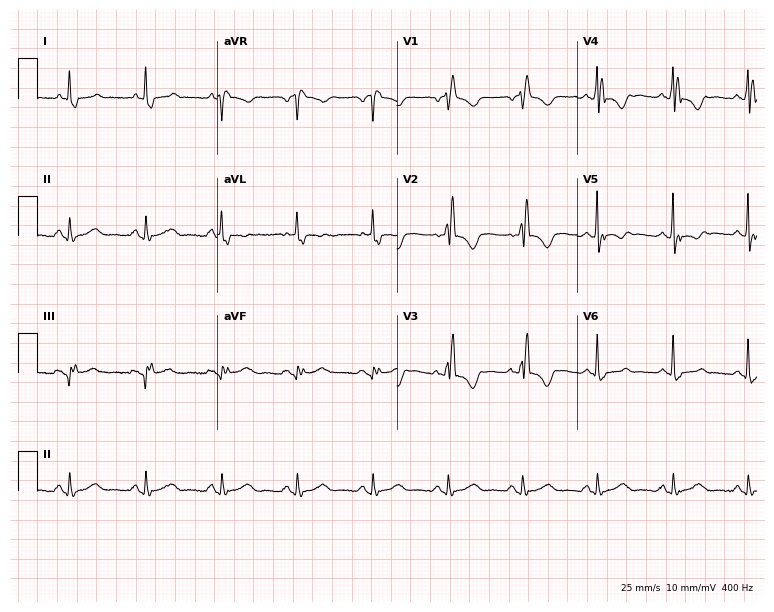
Standard 12-lead ECG recorded from a 78-year-old female. The tracing shows right bundle branch block.